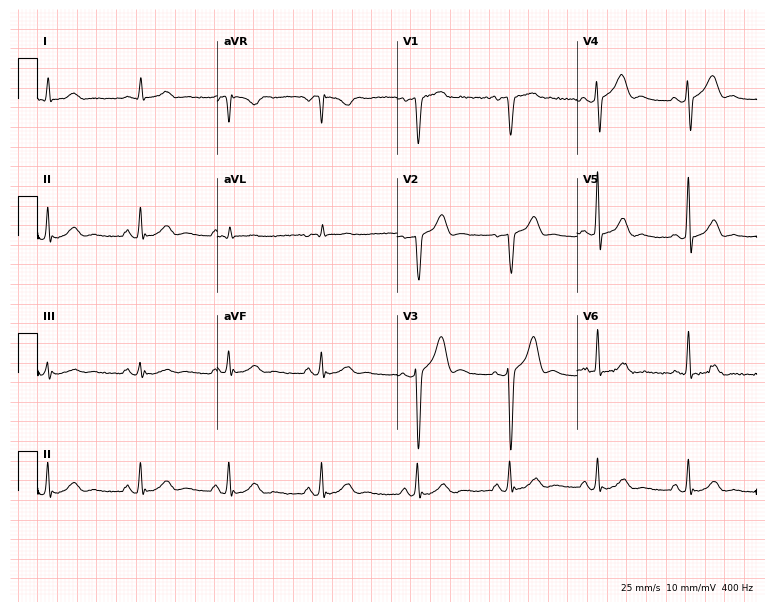
Resting 12-lead electrocardiogram (7.3-second recording at 400 Hz). Patient: a man, 46 years old. None of these six findings is recorded: first-degree AV block, right bundle branch block (RBBB), left bundle branch block (LBBB), sinus bradycardia, atrial fibrillation (AF), sinus tachycardia.